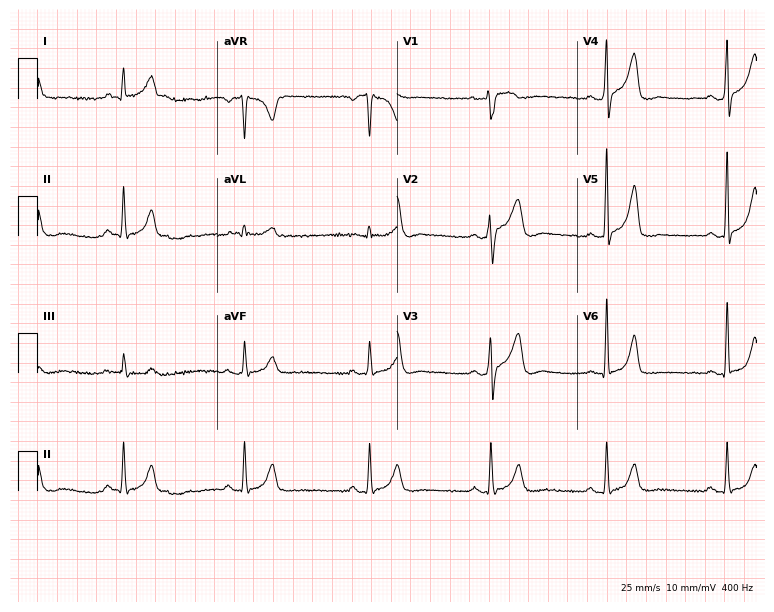
Resting 12-lead electrocardiogram (7.3-second recording at 400 Hz). Patient: a male, 41 years old. The tracing shows sinus bradycardia (a sinus rate of 50 beats per minute or less).